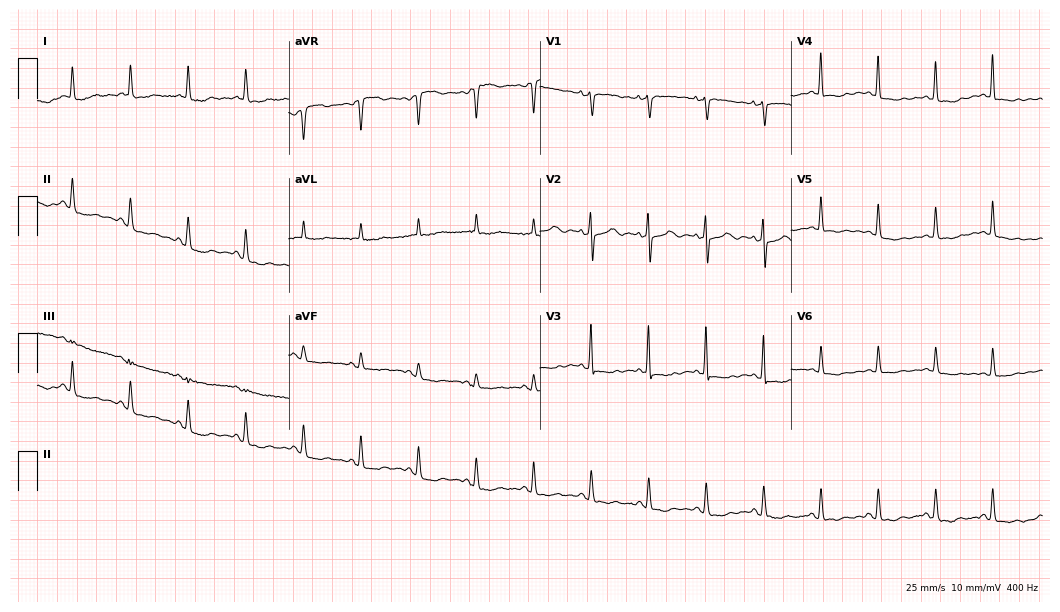
Resting 12-lead electrocardiogram (10.2-second recording at 400 Hz). Patient: a 74-year-old female. The tracing shows sinus tachycardia (a sinus rate of 100 beats per minute or more).